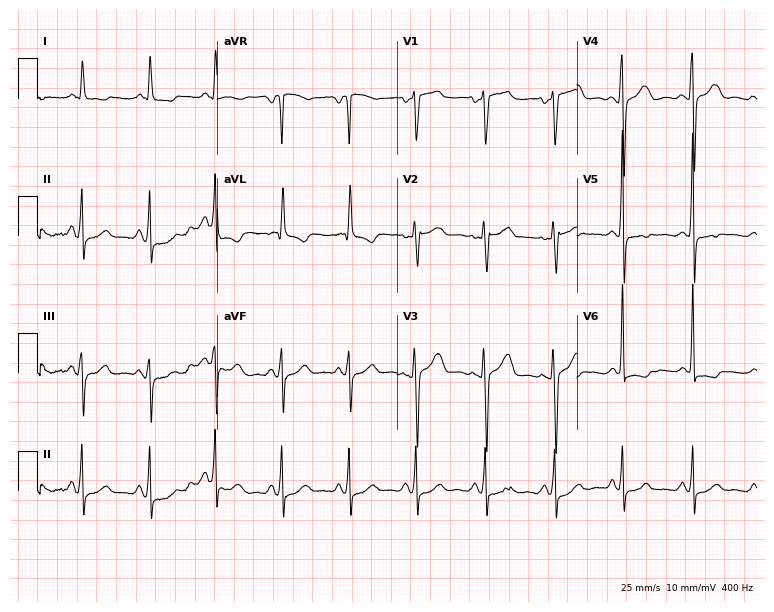
12-lead ECG from a 55-year-old female (7.3-second recording at 400 Hz). No first-degree AV block, right bundle branch block, left bundle branch block, sinus bradycardia, atrial fibrillation or sinus tachycardia recorded for this tracing.